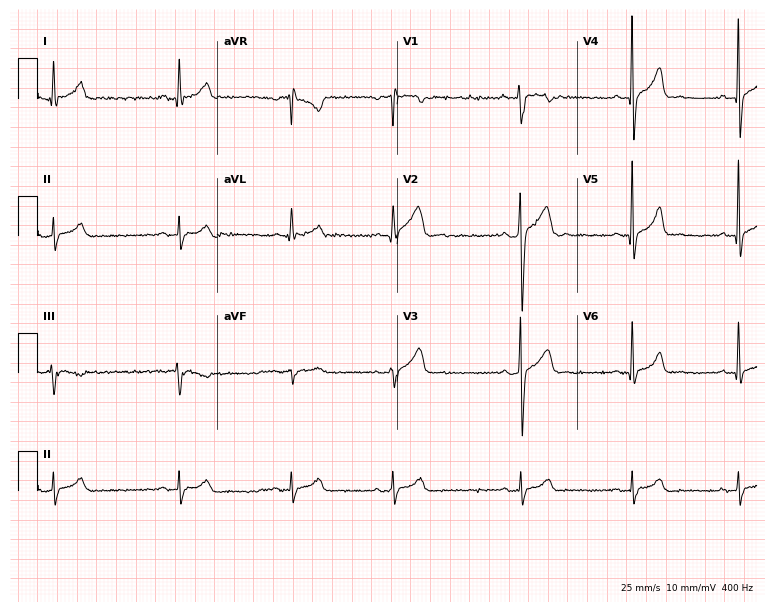
Electrocardiogram (7.3-second recording at 400 Hz), a 23-year-old male. Of the six screened findings (first-degree AV block, right bundle branch block, left bundle branch block, sinus bradycardia, atrial fibrillation, sinus tachycardia), none is recorded. Only these six findings were labelled.